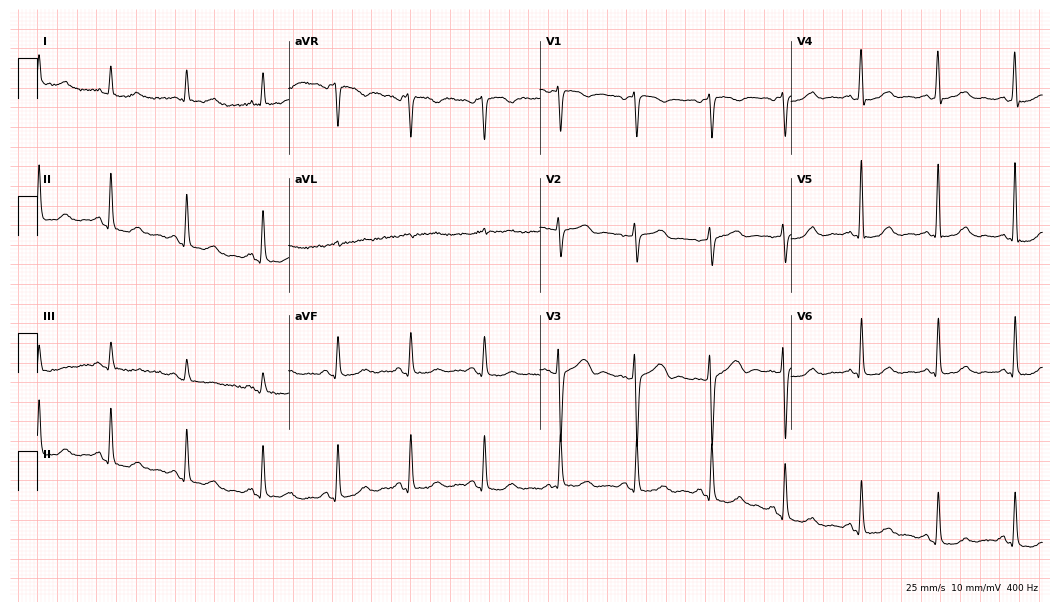
Electrocardiogram (10.2-second recording at 400 Hz), a 59-year-old female. Overall reading on record: normal ECG.